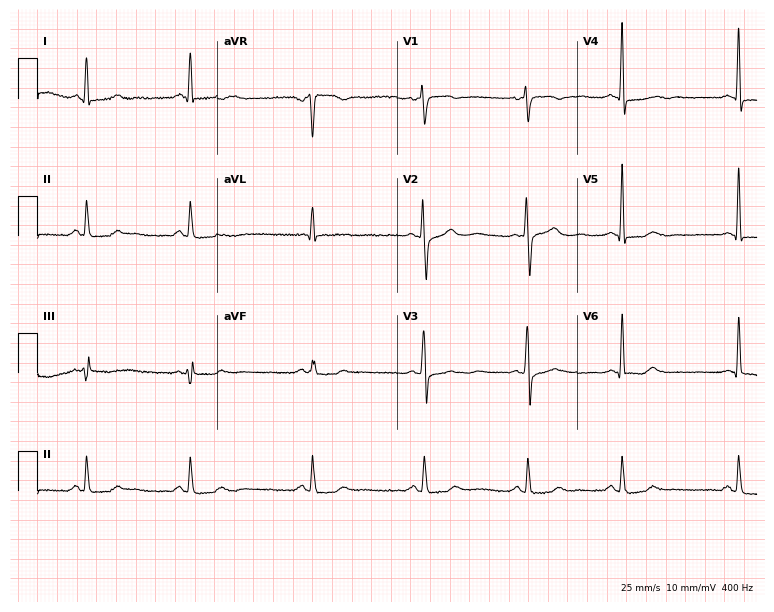
Standard 12-lead ECG recorded from a 47-year-old female patient. None of these six findings is recorded: first-degree AV block, right bundle branch block, left bundle branch block, sinus bradycardia, atrial fibrillation, sinus tachycardia.